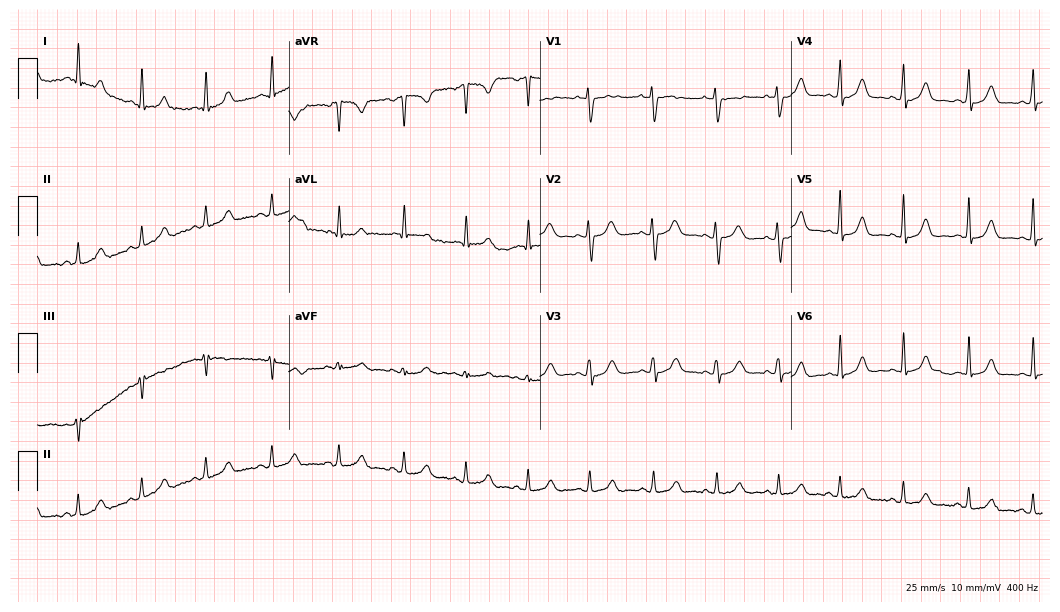
12-lead ECG from a woman, 42 years old. Recorded interpretation: within normal limits.